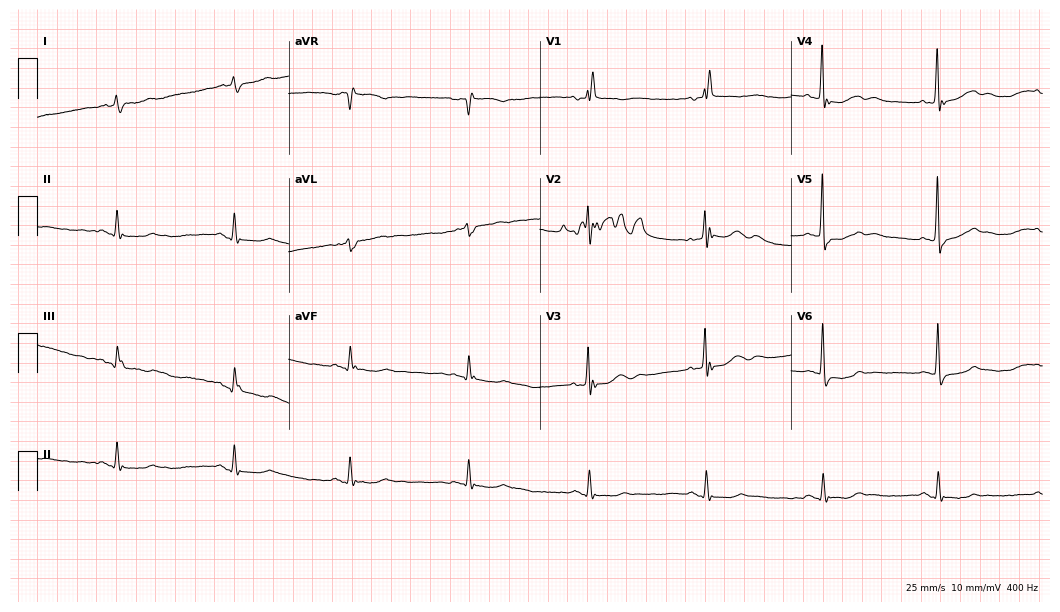
12-lead ECG from a male, 81 years old (10.2-second recording at 400 Hz). No first-degree AV block, right bundle branch block (RBBB), left bundle branch block (LBBB), sinus bradycardia, atrial fibrillation (AF) or sinus tachycardia recorded for this tracing.